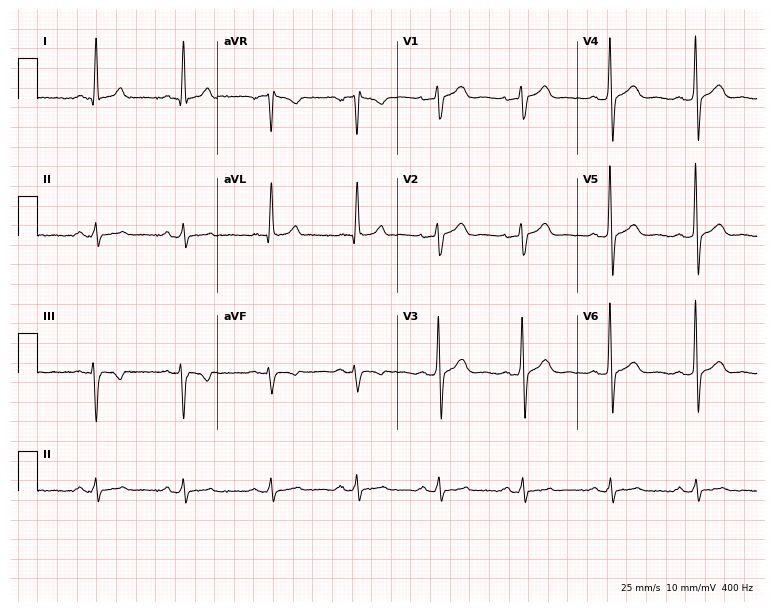
Standard 12-lead ECG recorded from a man, 55 years old (7.3-second recording at 400 Hz). Read as a normal ECG.